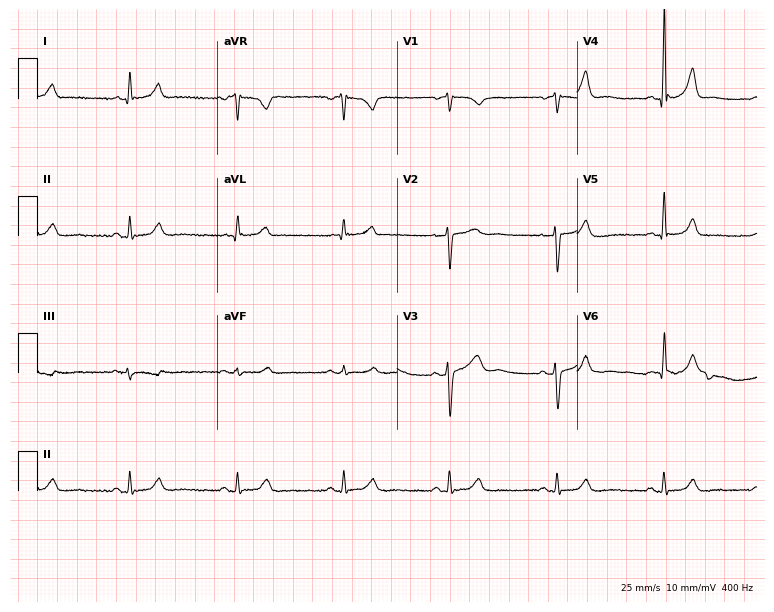
12-lead ECG from a 50-year-old male patient (7.3-second recording at 400 Hz). Recorded interpretation: within normal limits.